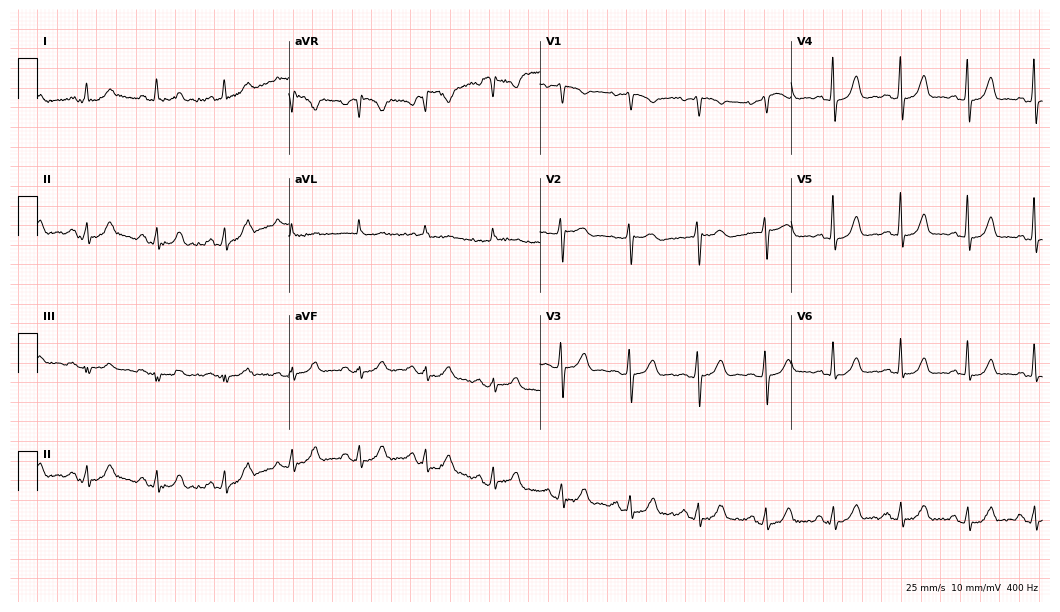
12-lead ECG (10.2-second recording at 400 Hz) from a female, 76 years old. Screened for six findings — first-degree AV block, right bundle branch block (RBBB), left bundle branch block (LBBB), sinus bradycardia, atrial fibrillation (AF), sinus tachycardia — none is recorded.